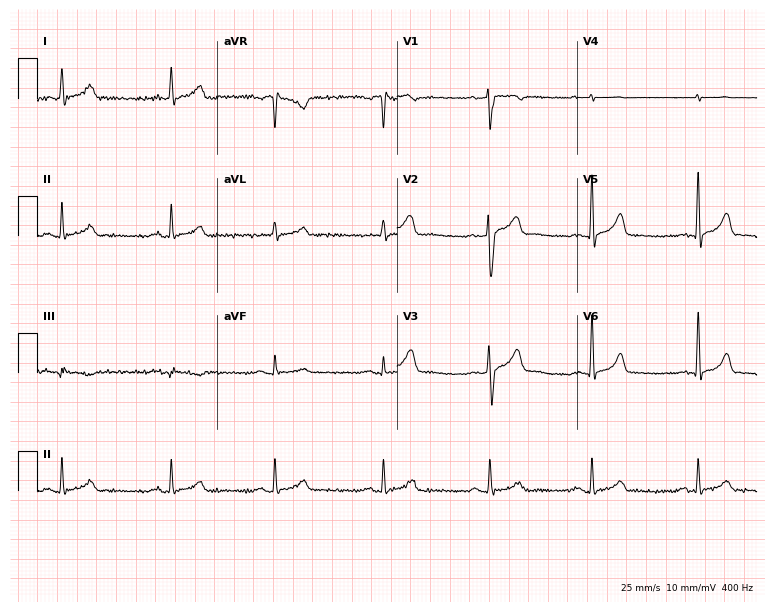
12-lead ECG (7.3-second recording at 400 Hz) from a 43-year-old man. Screened for six findings — first-degree AV block, right bundle branch block, left bundle branch block, sinus bradycardia, atrial fibrillation, sinus tachycardia — none is recorded.